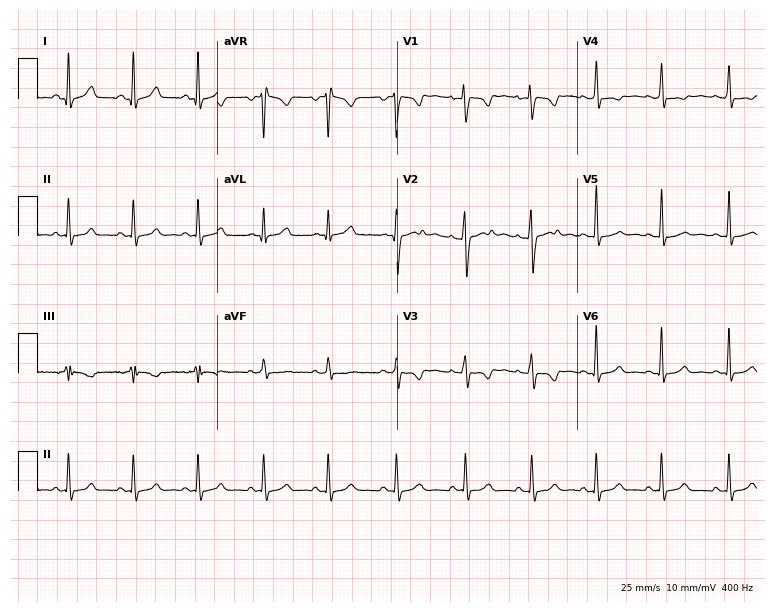
12-lead ECG from a female patient, 33 years old (7.3-second recording at 400 Hz). Recorded interpretation: within normal limits.